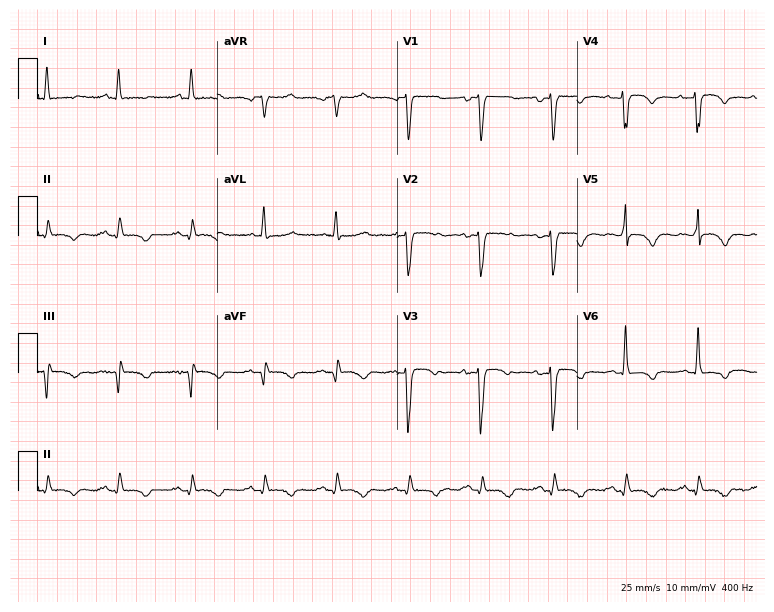
Electrocardiogram (7.3-second recording at 400 Hz), a woman, 79 years old. Of the six screened findings (first-degree AV block, right bundle branch block (RBBB), left bundle branch block (LBBB), sinus bradycardia, atrial fibrillation (AF), sinus tachycardia), none is recorded.